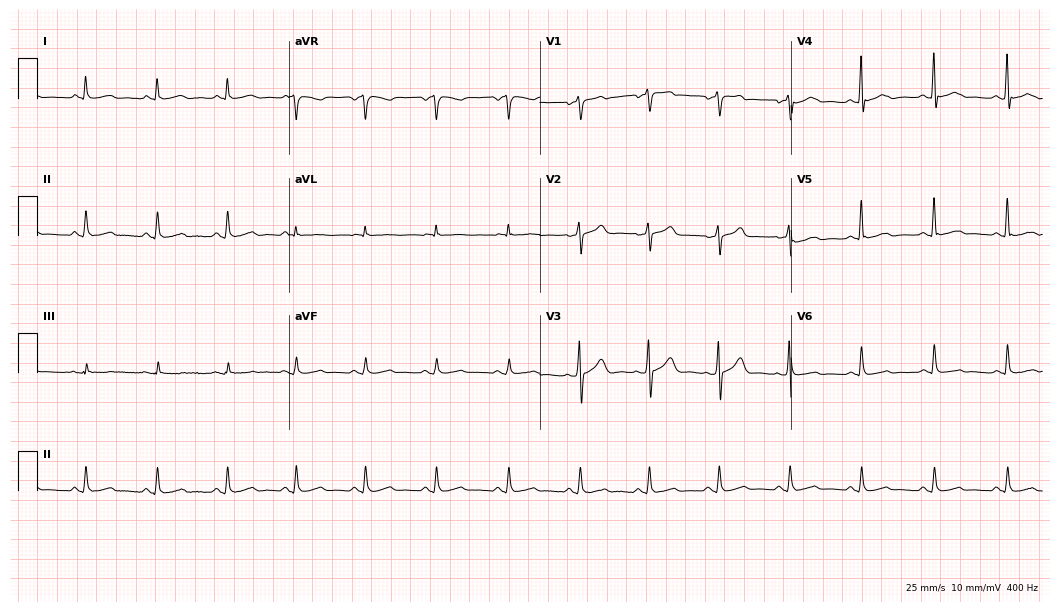
Standard 12-lead ECG recorded from a male patient, 52 years old (10.2-second recording at 400 Hz). None of these six findings is recorded: first-degree AV block, right bundle branch block, left bundle branch block, sinus bradycardia, atrial fibrillation, sinus tachycardia.